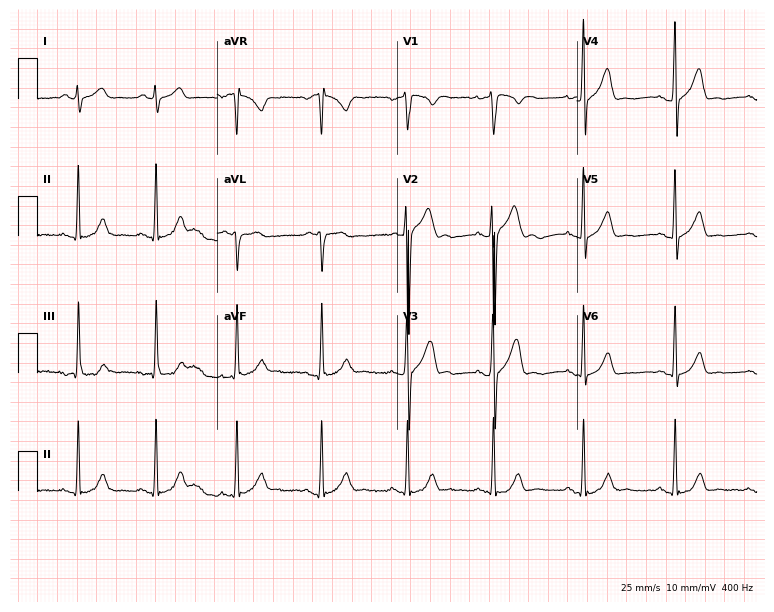
Standard 12-lead ECG recorded from a 31-year-old male. Read as a normal ECG.